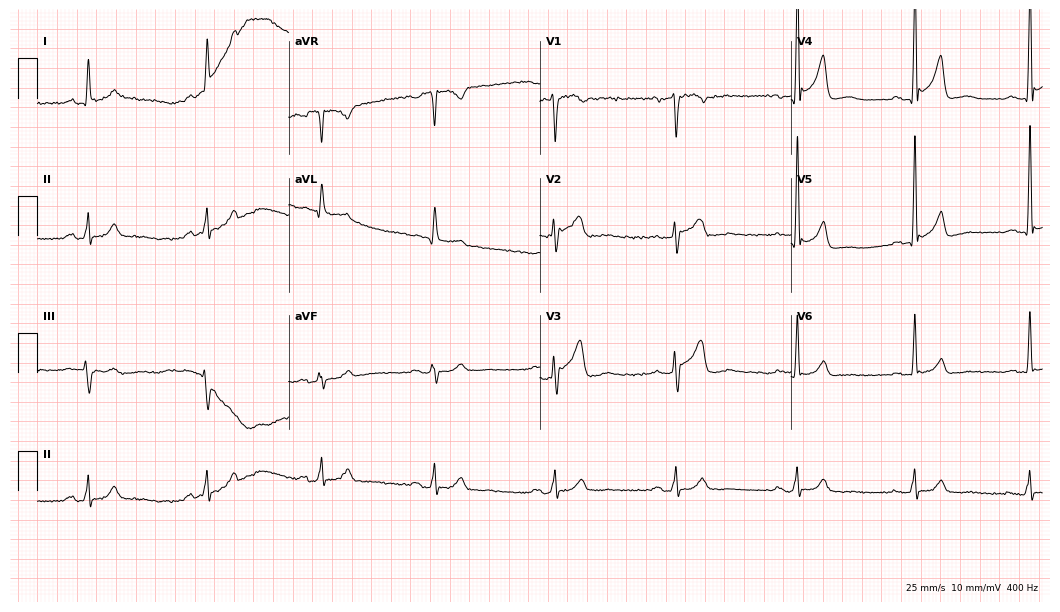
Standard 12-lead ECG recorded from a male patient, 67 years old (10.2-second recording at 400 Hz). The tracing shows sinus bradycardia (a sinus rate of 50 beats per minute or less).